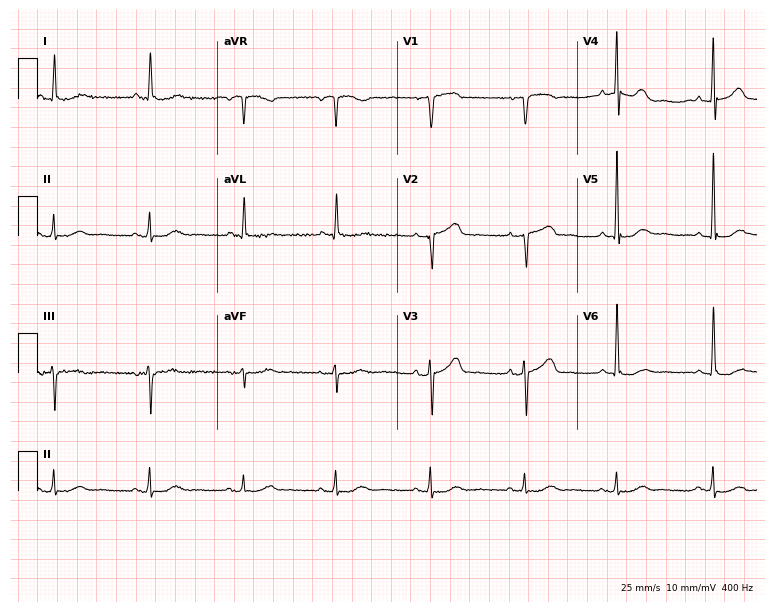
Resting 12-lead electrocardiogram (7.3-second recording at 400 Hz). Patient: a man, 73 years old. Read as a normal ECG.